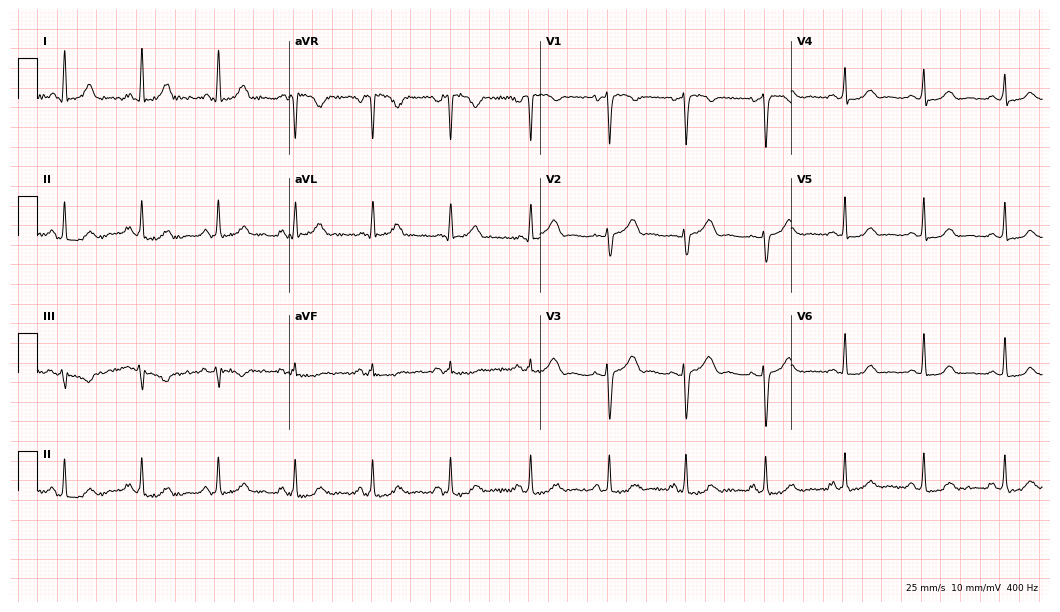
Standard 12-lead ECG recorded from a 37-year-old female. None of these six findings is recorded: first-degree AV block, right bundle branch block, left bundle branch block, sinus bradycardia, atrial fibrillation, sinus tachycardia. Findings outside these six are not listed.